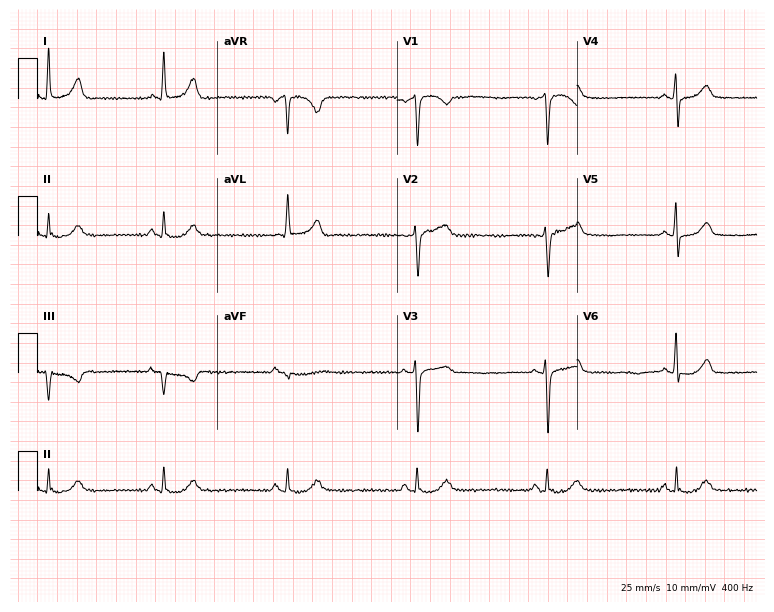
12-lead ECG from a 54-year-old female. Shows sinus bradycardia (a sinus rate of 50 beats per minute or less).